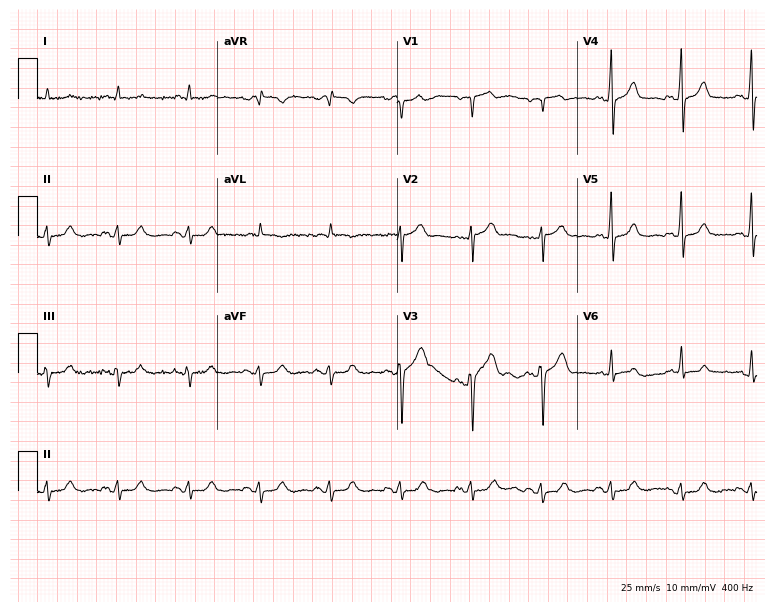
12-lead ECG from a man, 64 years old. No first-degree AV block, right bundle branch block, left bundle branch block, sinus bradycardia, atrial fibrillation or sinus tachycardia recorded for this tracing. Other findings, if any, are not listed.